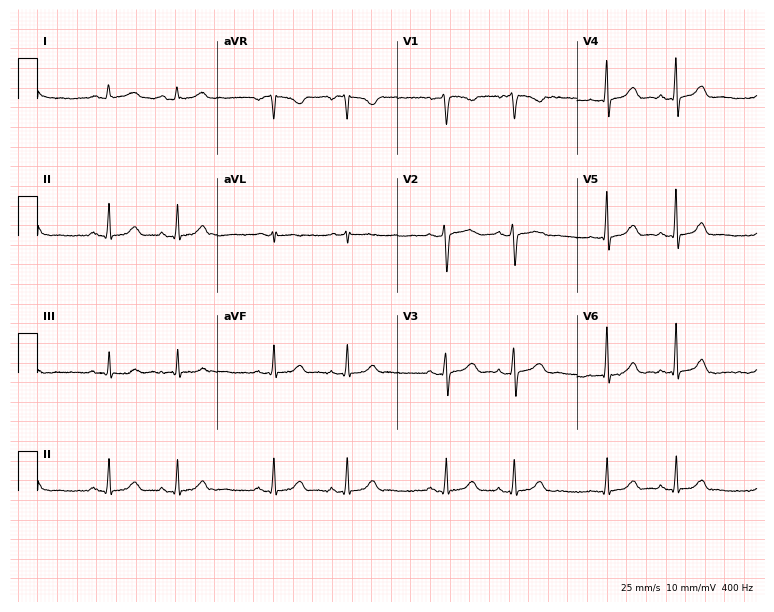
Electrocardiogram, a female, 34 years old. Overall reading on record: normal ECG.